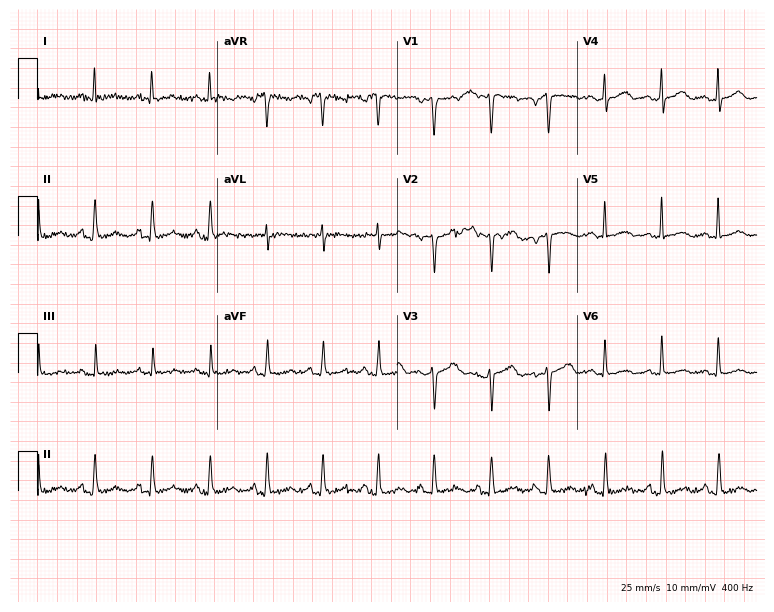
ECG (7.3-second recording at 400 Hz) — a female, 52 years old. Screened for six findings — first-degree AV block, right bundle branch block, left bundle branch block, sinus bradycardia, atrial fibrillation, sinus tachycardia — none is recorded. Only these six findings were labelled.